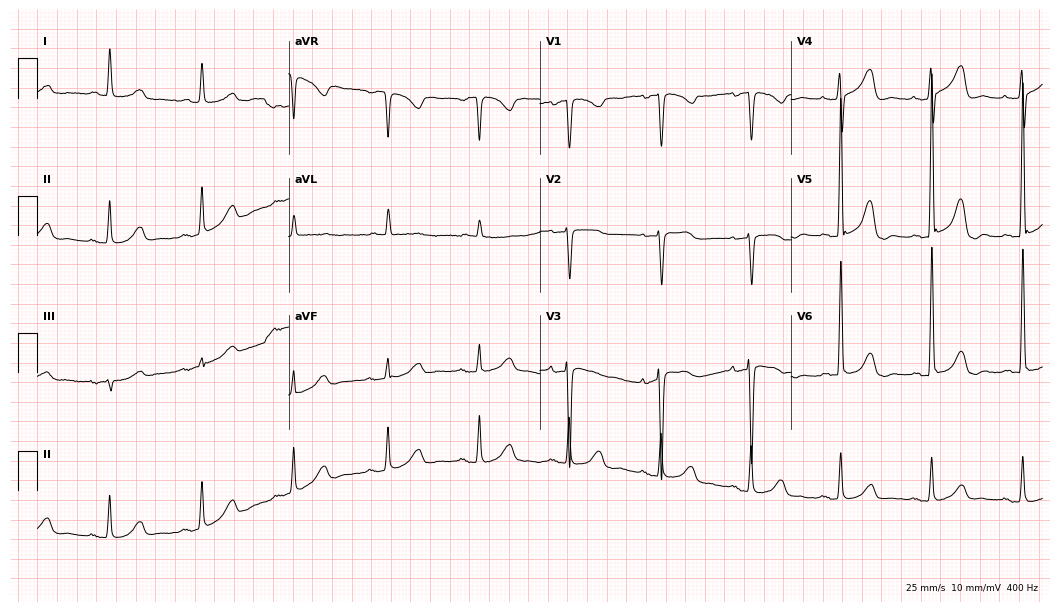
ECG (10.2-second recording at 400 Hz) — a 76-year-old woman. Labelled as a normal ECG.